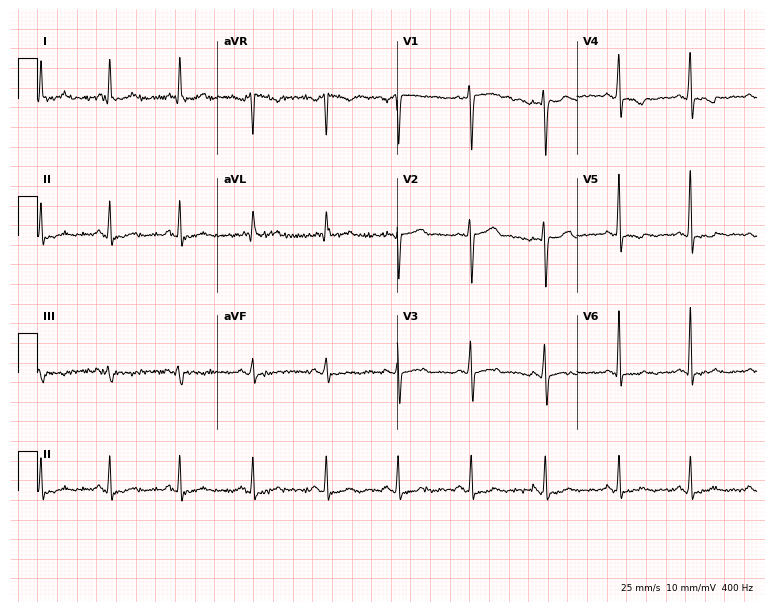
Standard 12-lead ECG recorded from a 44-year-old woman (7.3-second recording at 400 Hz). None of these six findings is recorded: first-degree AV block, right bundle branch block, left bundle branch block, sinus bradycardia, atrial fibrillation, sinus tachycardia. Only these six findings were labelled.